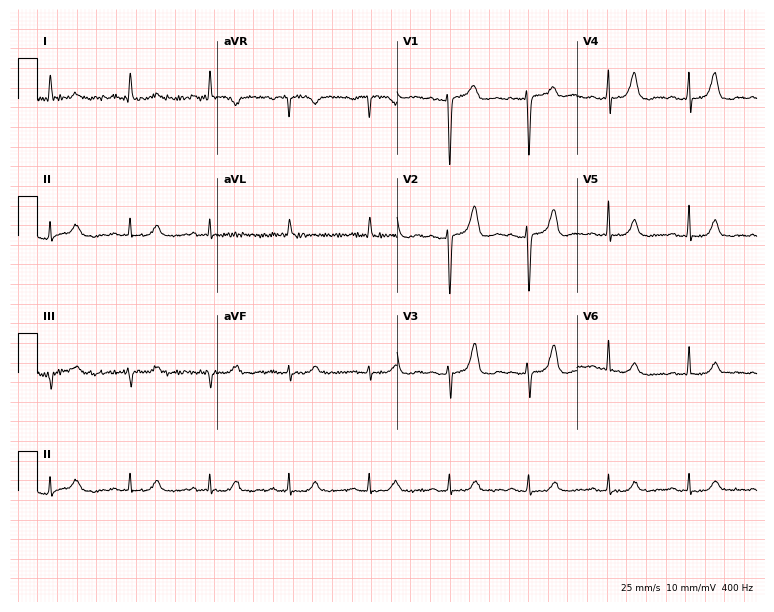
ECG (7.3-second recording at 400 Hz) — a 53-year-old female. Labelled as a normal ECG.